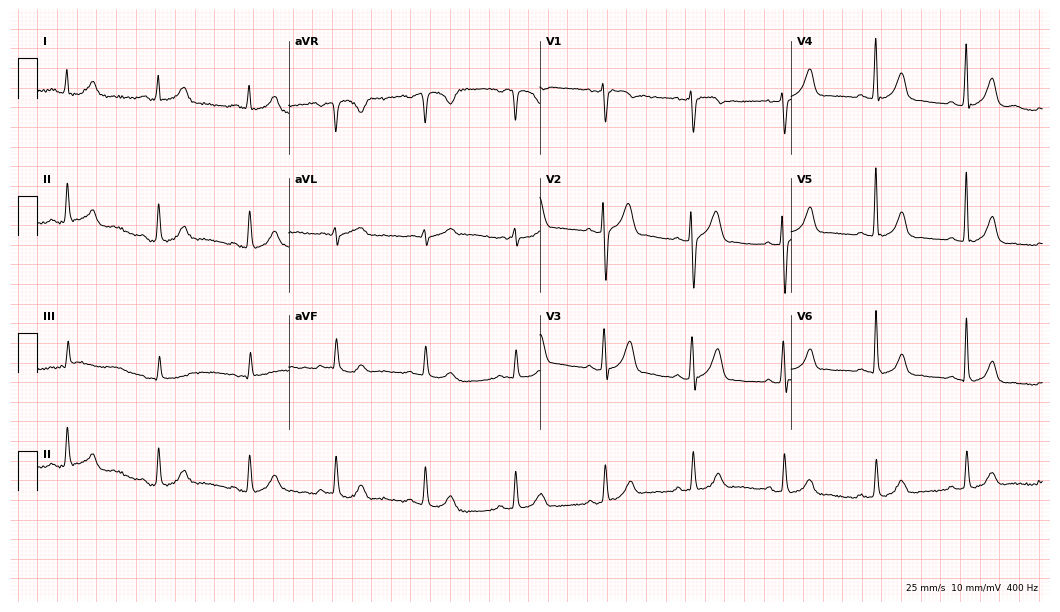
Standard 12-lead ECG recorded from a man, 33 years old. Read as a normal ECG.